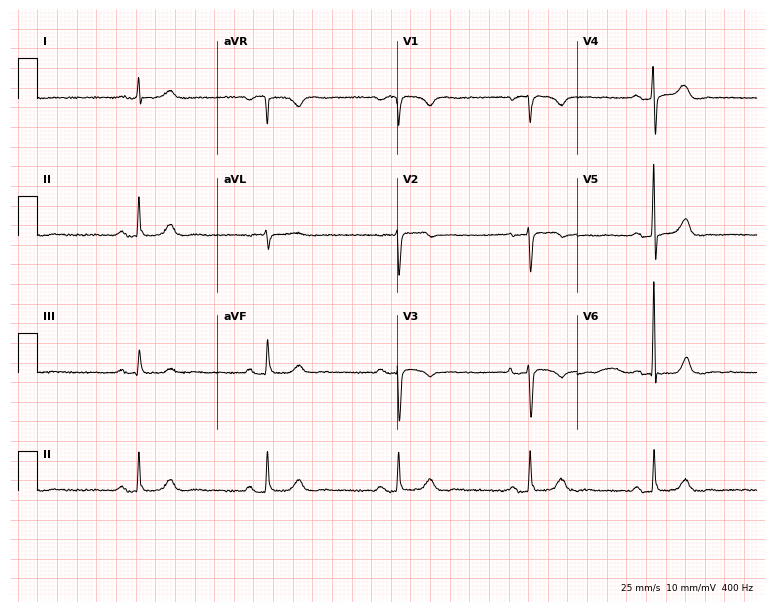
ECG (7.3-second recording at 400 Hz) — a 60-year-old female patient. Labelled as a normal ECG.